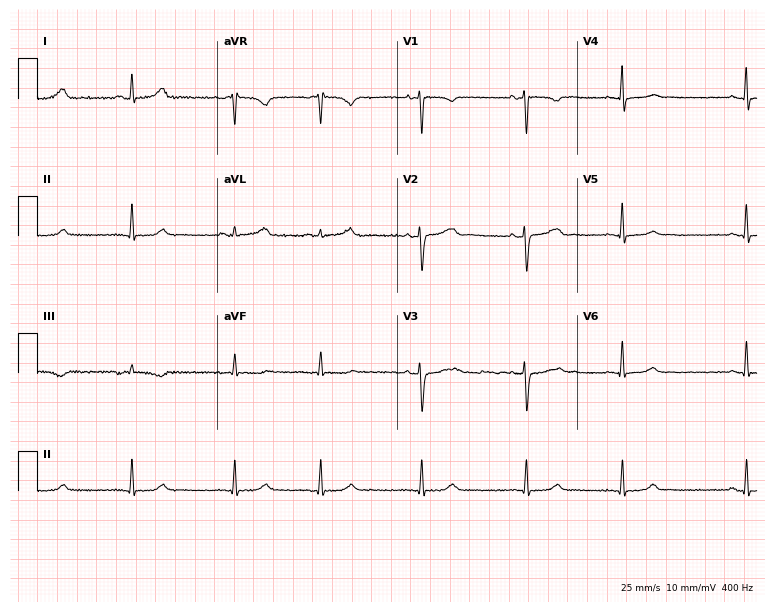
12-lead ECG (7.3-second recording at 400 Hz) from a female, 47 years old. Labelled as a normal ECG.